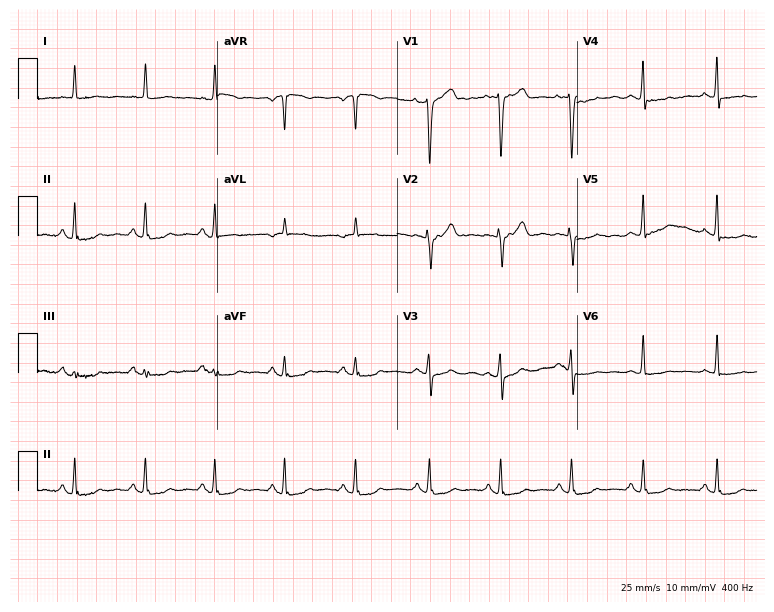
Electrocardiogram (7.3-second recording at 400 Hz), a 61-year-old female patient. Of the six screened findings (first-degree AV block, right bundle branch block, left bundle branch block, sinus bradycardia, atrial fibrillation, sinus tachycardia), none is recorded.